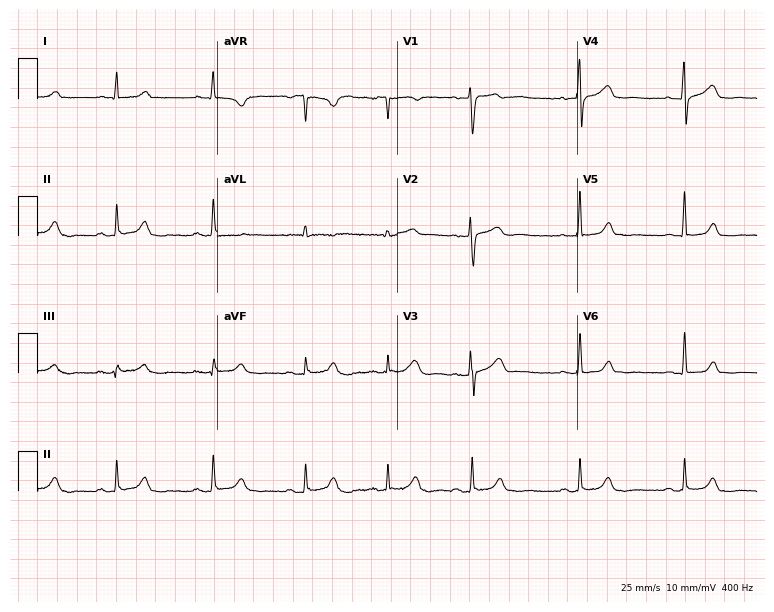
Standard 12-lead ECG recorded from a woman, 34 years old (7.3-second recording at 400 Hz). Read as a normal ECG.